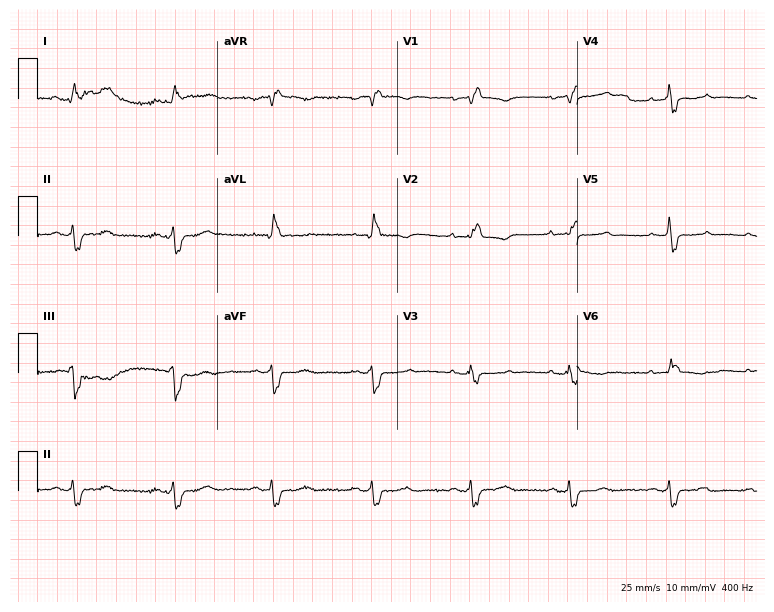
12-lead ECG from a 42-year-old woman (7.3-second recording at 400 Hz). Shows right bundle branch block (RBBB).